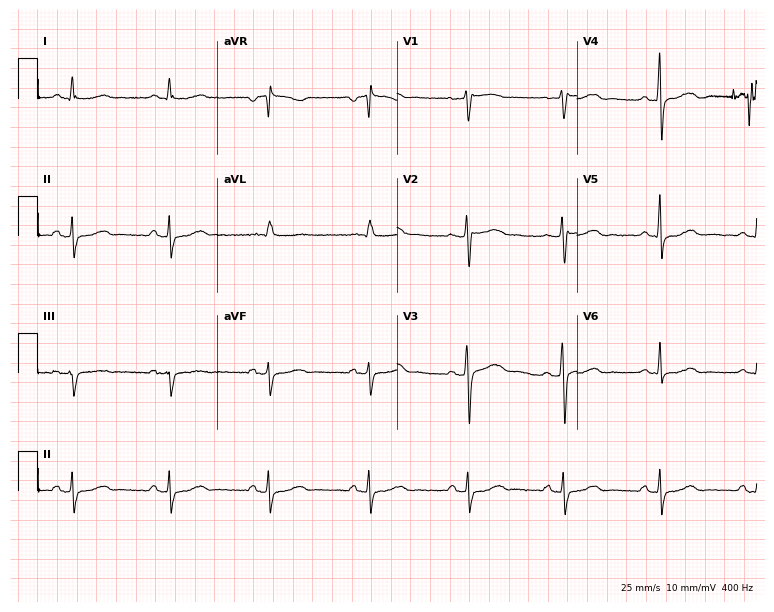
Resting 12-lead electrocardiogram. Patient: a 48-year-old male. None of these six findings is recorded: first-degree AV block, right bundle branch block, left bundle branch block, sinus bradycardia, atrial fibrillation, sinus tachycardia. Findings outside these six are not listed.